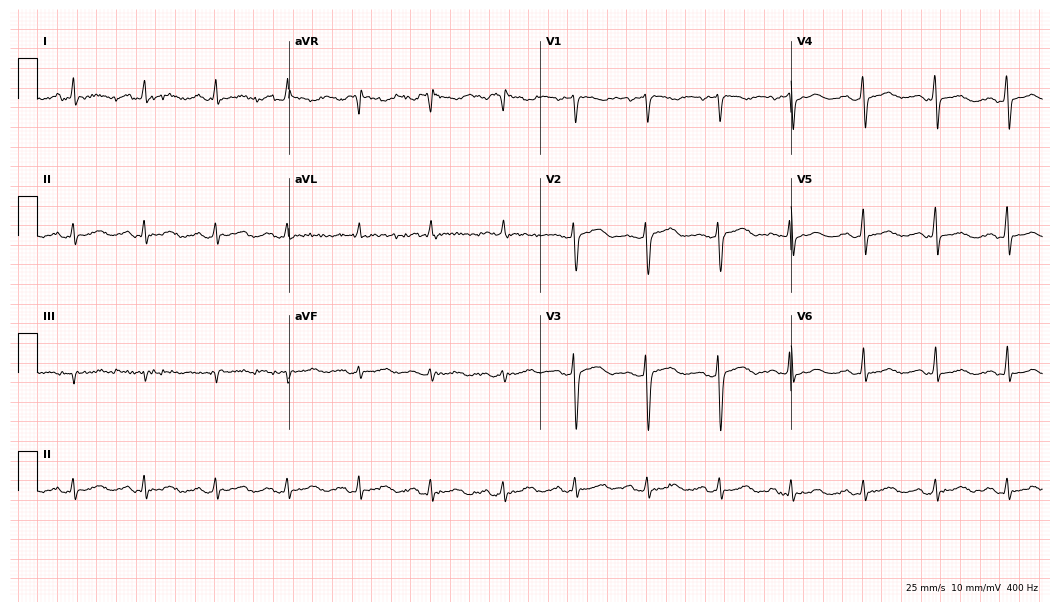
12-lead ECG from a 49-year-old female patient (10.2-second recording at 400 Hz). No first-degree AV block, right bundle branch block, left bundle branch block, sinus bradycardia, atrial fibrillation or sinus tachycardia recorded for this tracing.